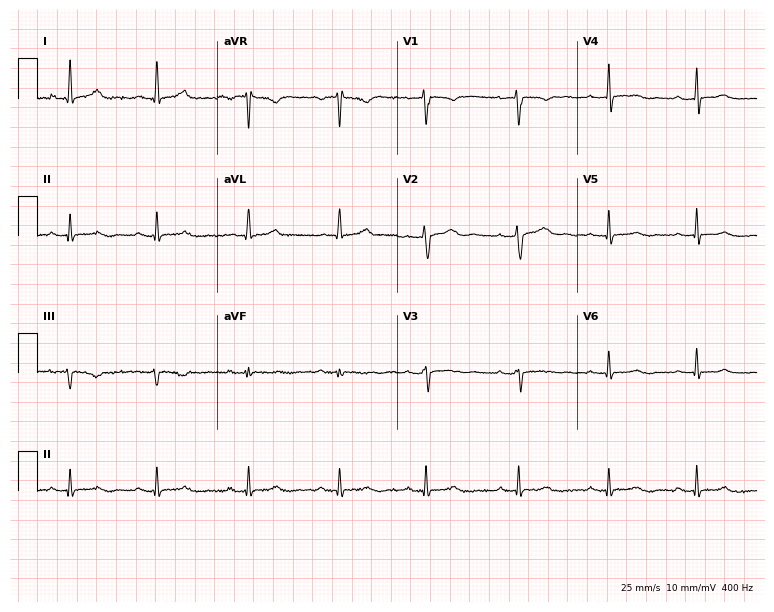
12-lead ECG from a 40-year-old female patient. Screened for six findings — first-degree AV block, right bundle branch block, left bundle branch block, sinus bradycardia, atrial fibrillation, sinus tachycardia — none is recorded.